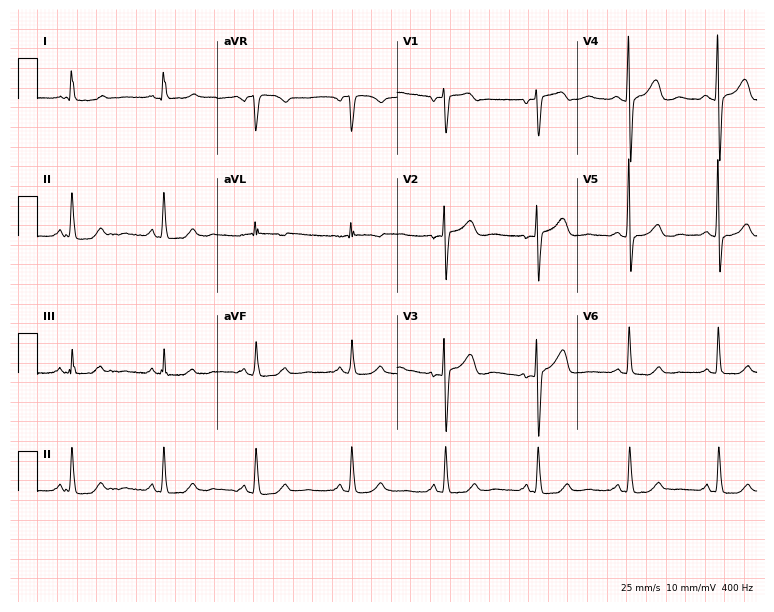
ECG (7.3-second recording at 400 Hz) — a female, 55 years old. Screened for six findings — first-degree AV block, right bundle branch block, left bundle branch block, sinus bradycardia, atrial fibrillation, sinus tachycardia — none is recorded. Findings outside these six are not listed.